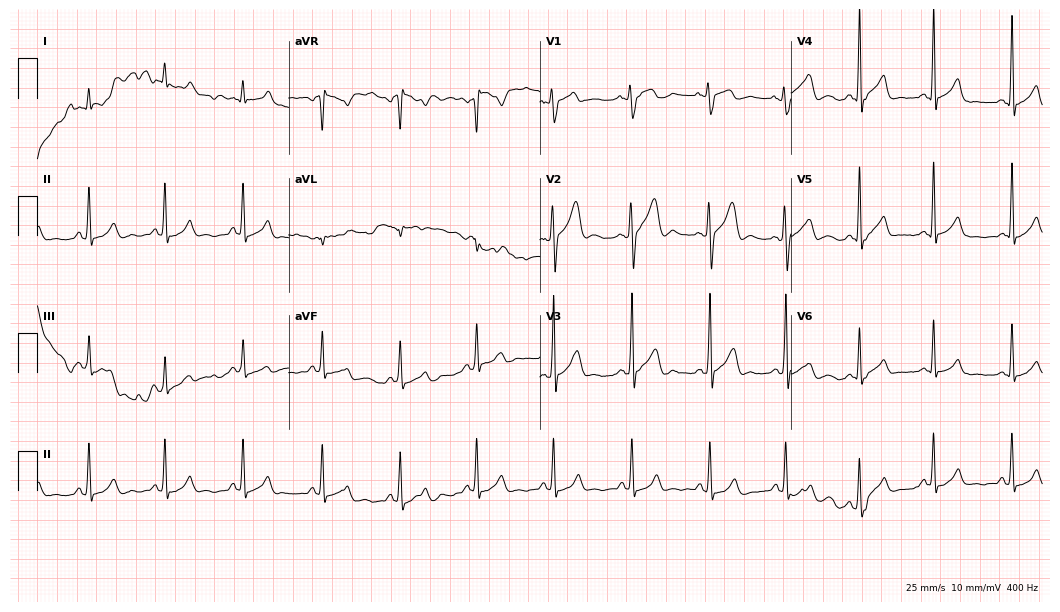
12-lead ECG from a male patient, 36 years old. Recorded interpretation: within normal limits.